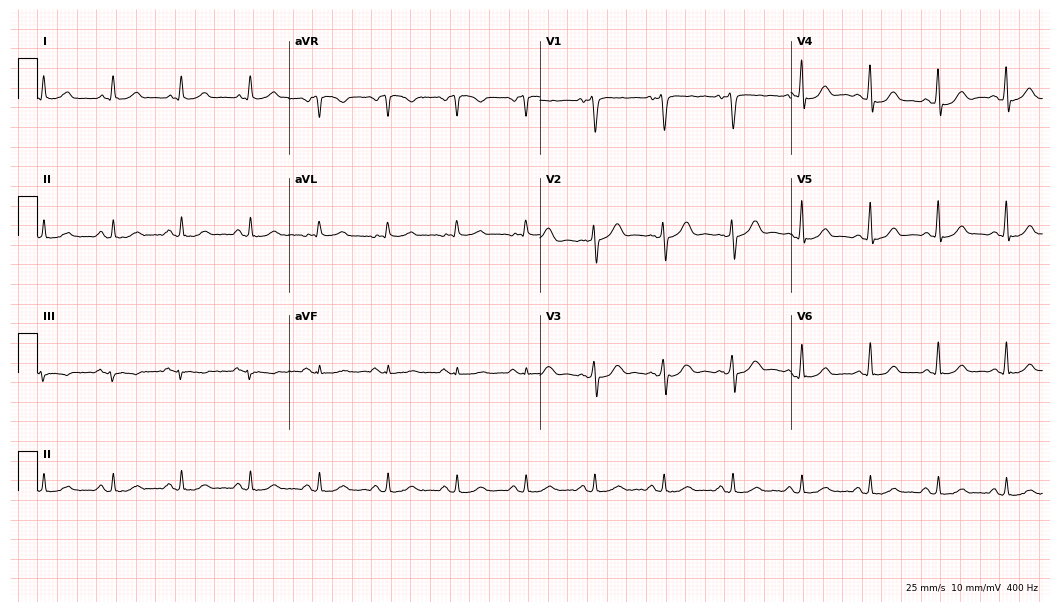
12-lead ECG from a 64-year-old man. Recorded interpretation: within normal limits.